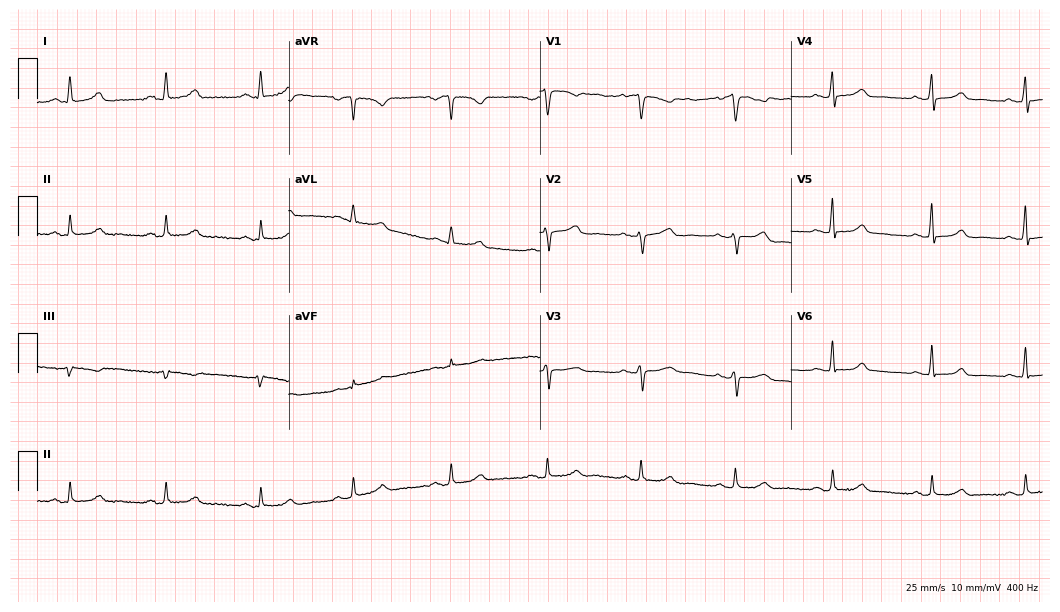
Resting 12-lead electrocardiogram (10.2-second recording at 400 Hz). Patient: a 56-year-old female. Read as a normal ECG.